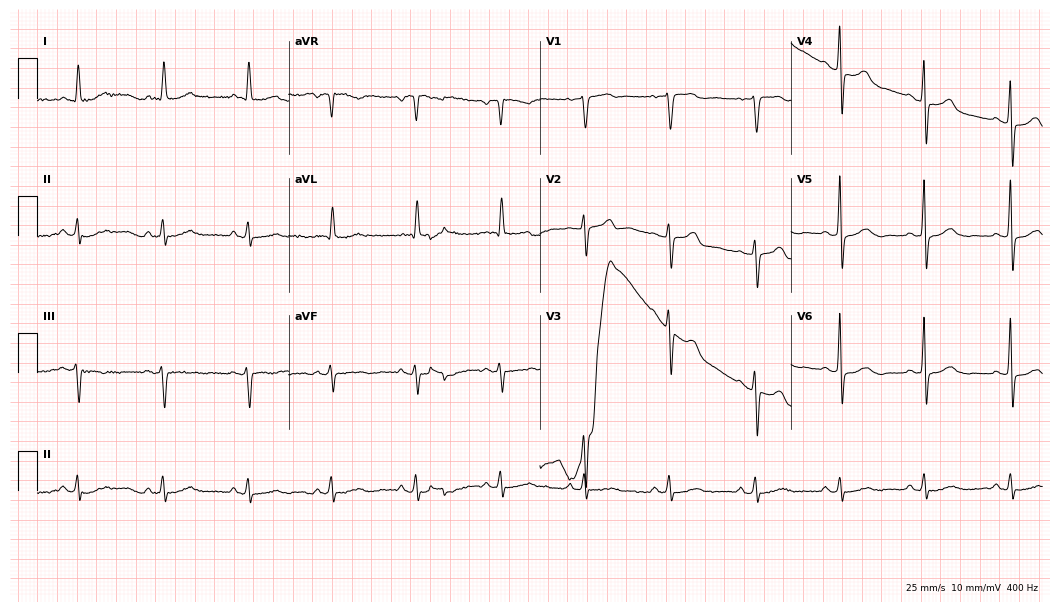
ECG — a female patient, 58 years old. Screened for six findings — first-degree AV block, right bundle branch block, left bundle branch block, sinus bradycardia, atrial fibrillation, sinus tachycardia — none is recorded. Findings outside these six are not listed.